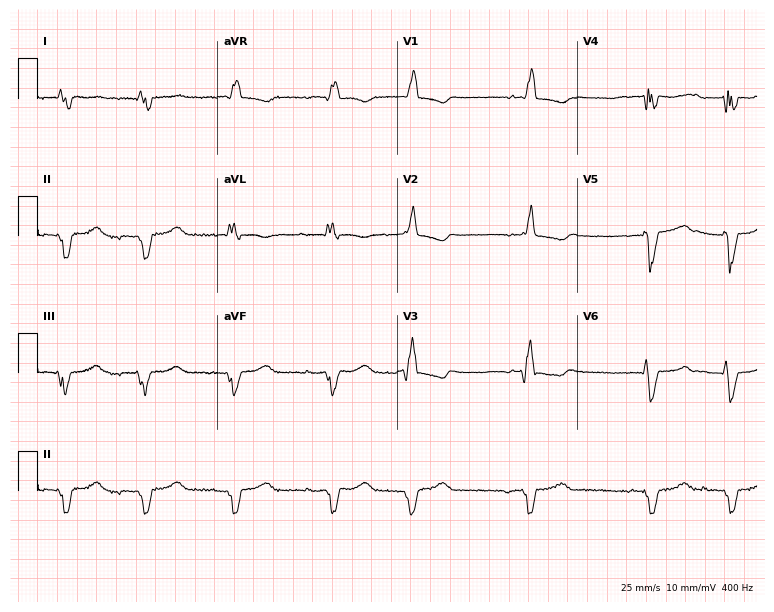
Resting 12-lead electrocardiogram. Patient: a female, 53 years old. The tracing shows right bundle branch block (RBBB).